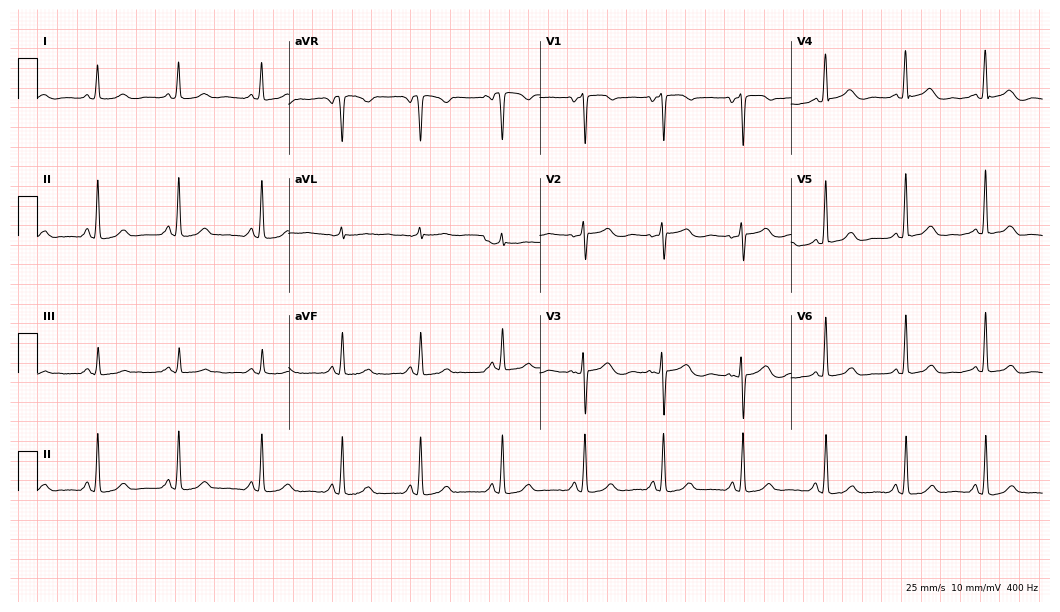
12-lead ECG from a 56-year-old woman (10.2-second recording at 400 Hz). Recorded interpretation: within normal limits.